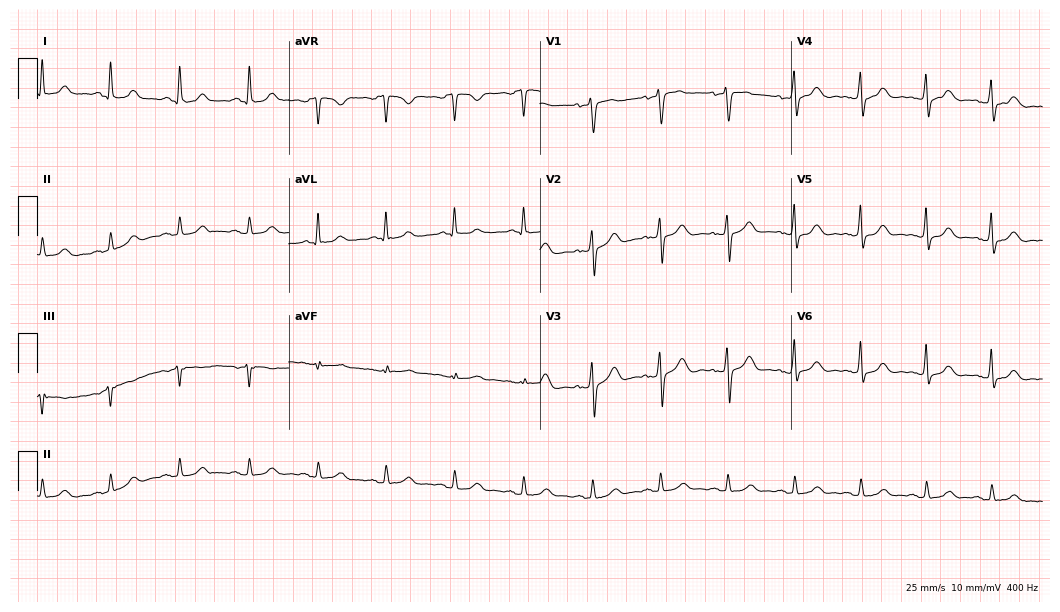
Standard 12-lead ECG recorded from a female, 62 years old (10.2-second recording at 400 Hz). Read as a normal ECG.